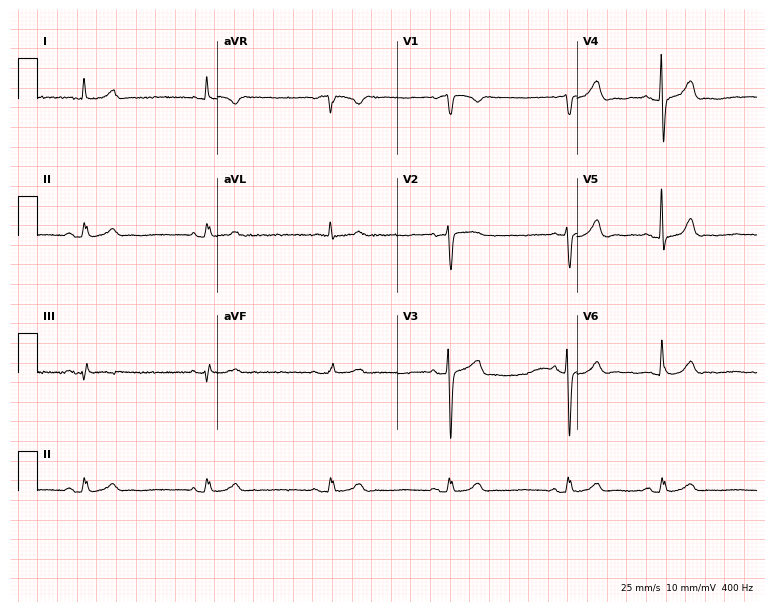
Electrocardiogram, a male patient, 79 years old. Overall reading on record: normal ECG.